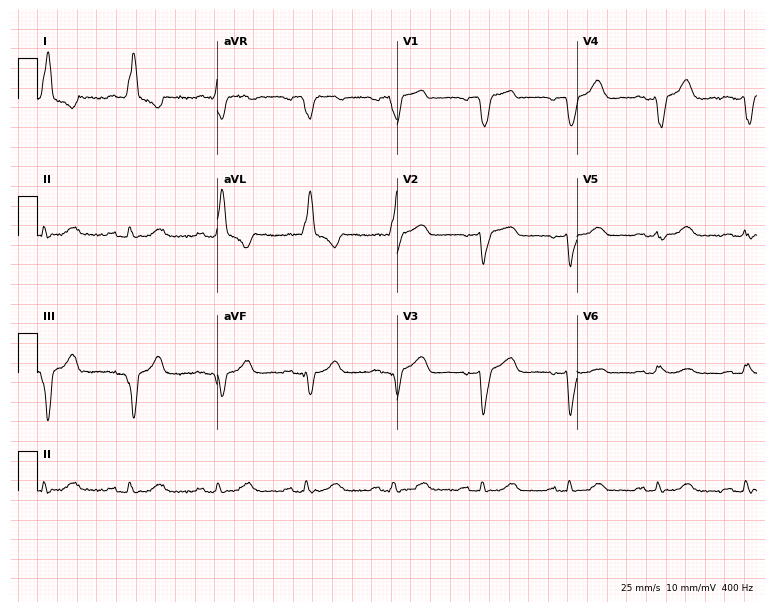
12-lead ECG from a 71-year-old female. Screened for six findings — first-degree AV block, right bundle branch block, left bundle branch block, sinus bradycardia, atrial fibrillation, sinus tachycardia — none is recorded. Other findings, if any, are not listed.